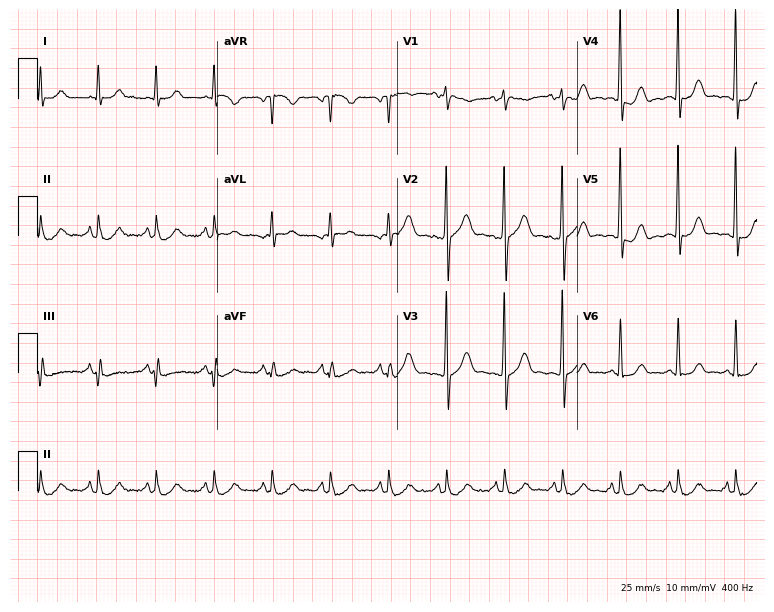
Resting 12-lead electrocardiogram. Patient: a 62-year-old man. None of these six findings is recorded: first-degree AV block, right bundle branch block, left bundle branch block, sinus bradycardia, atrial fibrillation, sinus tachycardia. Findings outside these six are not listed.